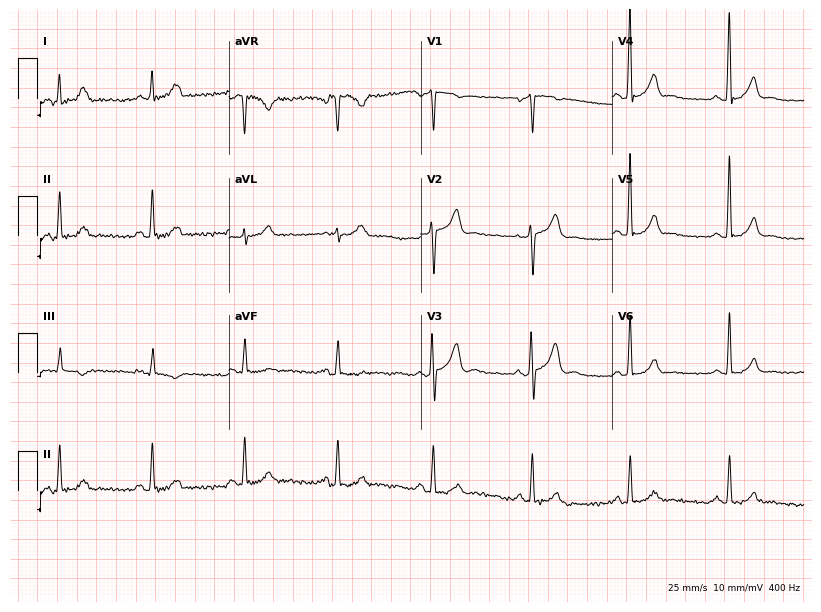
12-lead ECG from a man, 43 years old. Screened for six findings — first-degree AV block, right bundle branch block, left bundle branch block, sinus bradycardia, atrial fibrillation, sinus tachycardia — none is recorded.